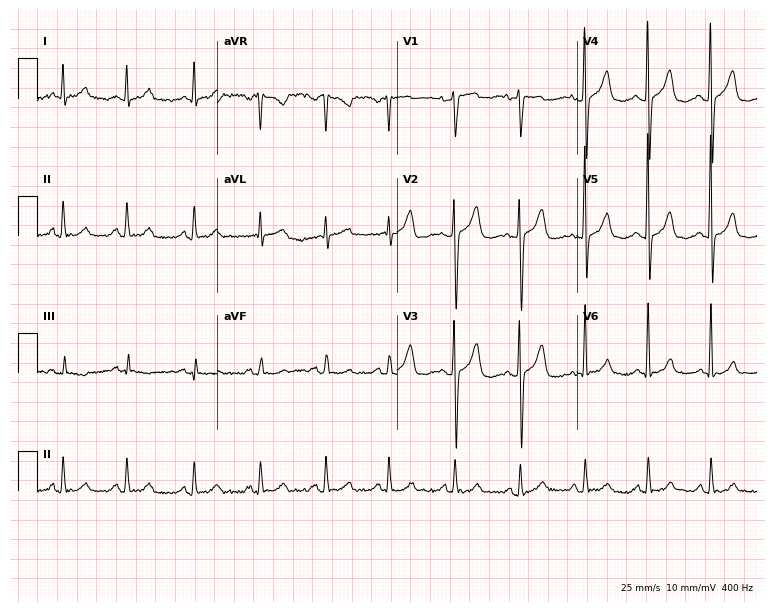
ECG (7.3-second recording at 400 Hz) — a female, 76 years old. Labelled as a normal ECG.